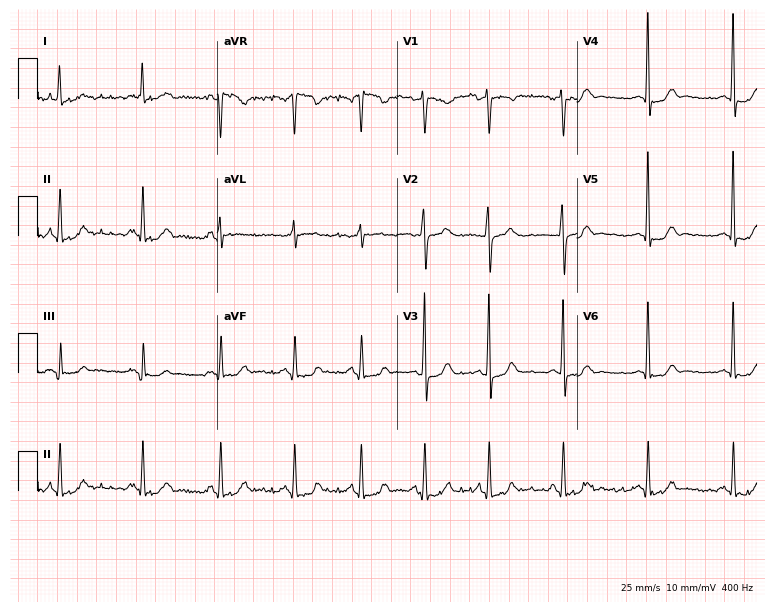
Resting 12-lead electrocardiogram. Patient: a woman, 32 years old. None of these six findings is recorded: first-degree AV block, right bundle branch block (RBBB), left bundle branch block (LBBB), sinus bradycardia, atrial fibrillation (AF), sinus tachycardia. Only these six findings were labelled.